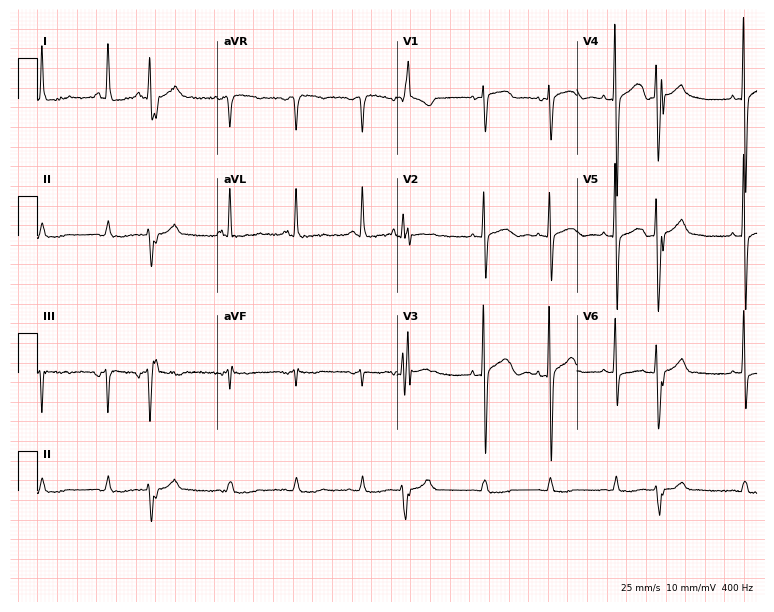
12-lead ECG from a woman, 81 years old (7.3-second recording at 400 Hz). No first-degree AV block, right bundle branch block (RBBB), left bundle branch block (LBBB), sinus bradycardia, atrial fibrillation (AF) or sinus tachycardia recorded for this tracing. Findings outside these six are not listed.